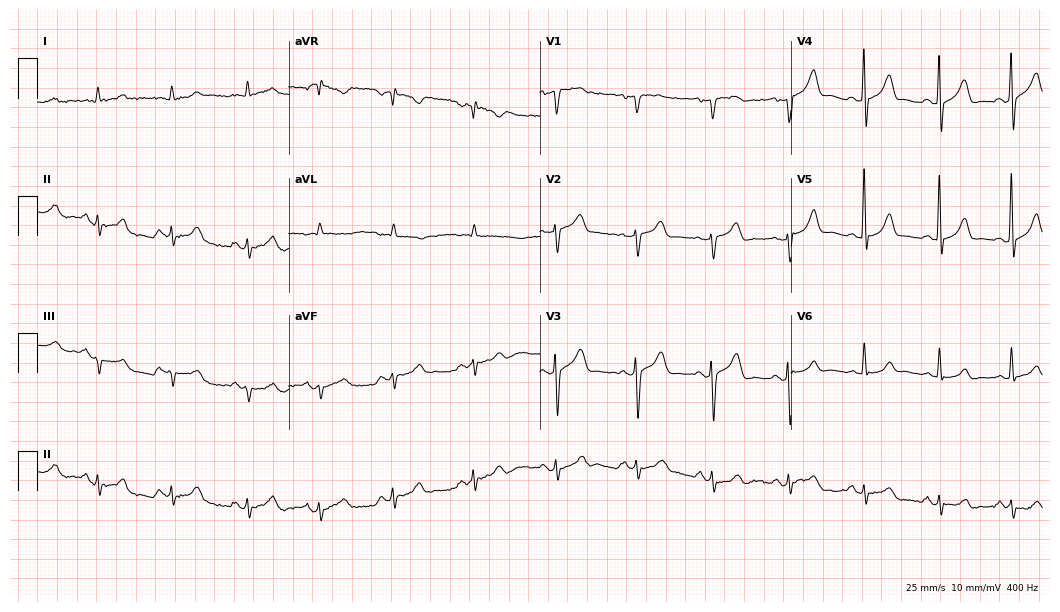
Electrocardiogram, a 60-year-old man. Overall reading on record: normal ECG.